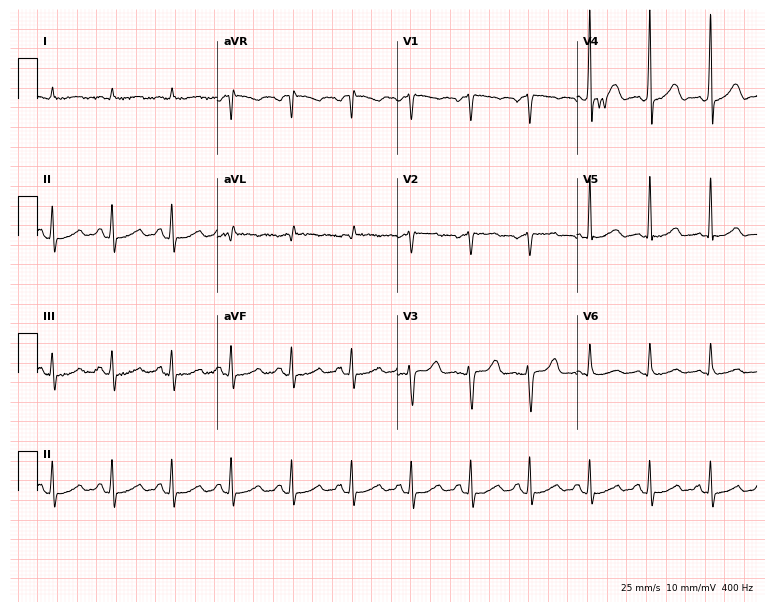
ECG (7.3-second recording at 400 Hz) — a 61-year-old male patient. Screened for six findings — first-degree AV block, right bundle branch block (RBBB), left bundle branch block (LBBB), sinus bradycardia, atrial fibrillation (AF), sinus tachycardia — none is recorded. Only these six findings were labelled.